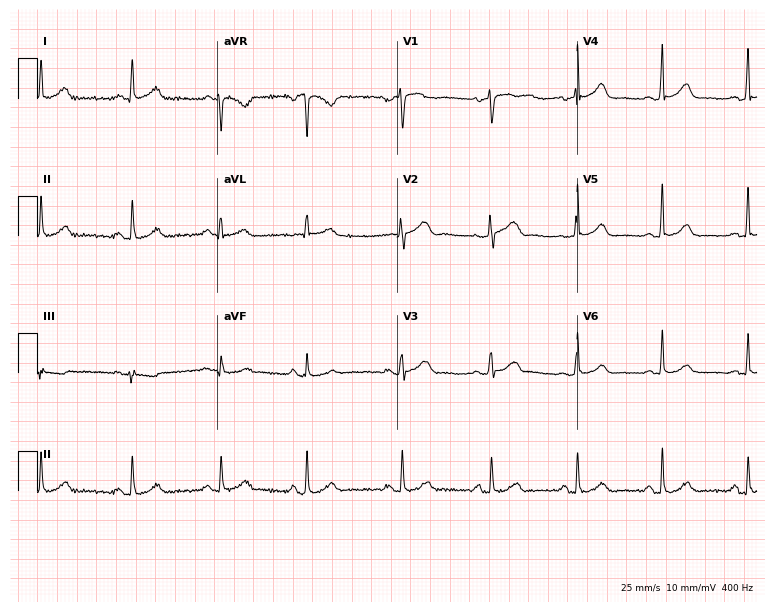
12-lead ECG from a 38-year-old female patient. Labelled as a normal ECG.